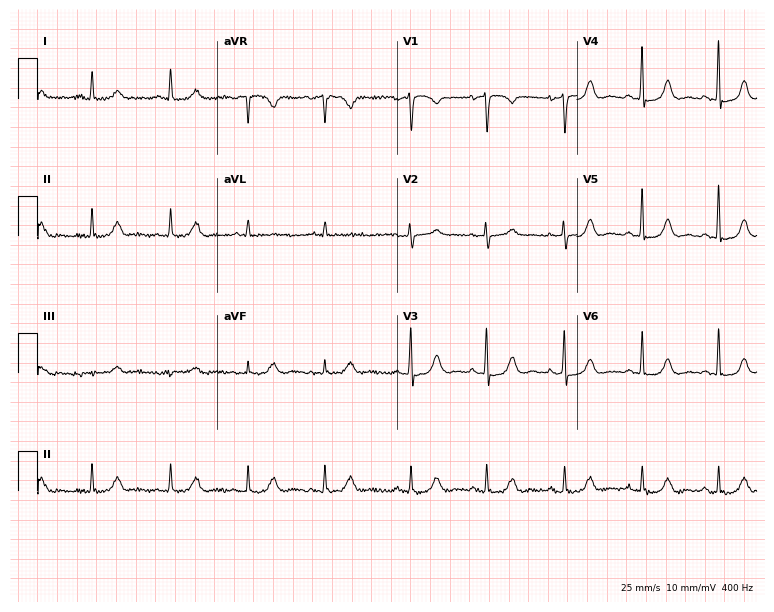
Resting 12-lead electrocardiogram. Patient: a 65-year-old female. Read as a normal ECG.